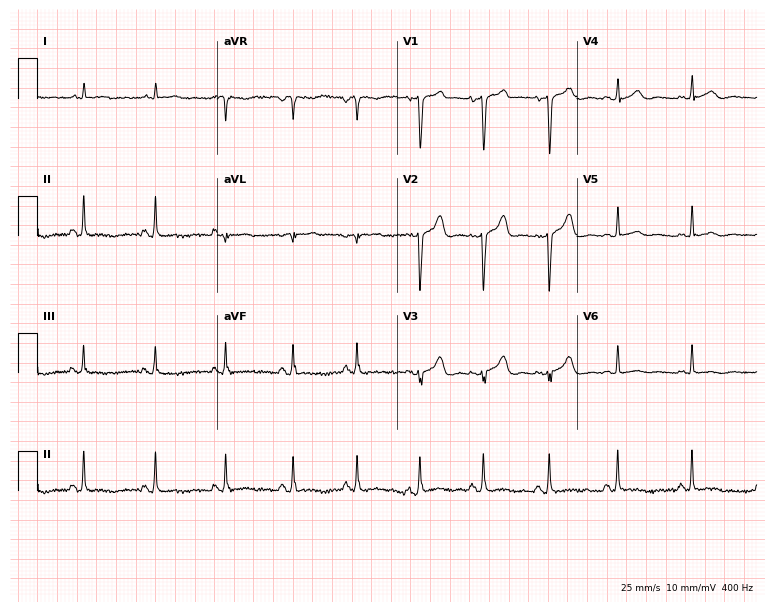
Standard 12-lead ECG recorded from a man, 57 years old. None of these six findings is recorded: first-degree AV block, right bundle branch block (RBBB), left bundle branch block (LBBB), sinus bradycardia, atrial fibrillation (AF), sinus tachycardia. Only these six findings were labelled.